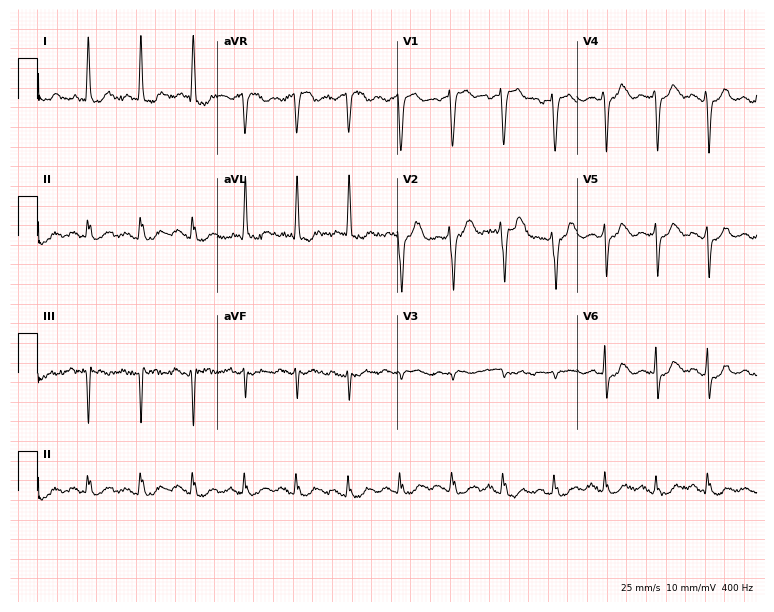
Resting 12-lead electrocardiogram. Patient: a 78-year-old woman. The tracing shows sinus tachycardia (a sinus rate of 100 beats per minute or more).